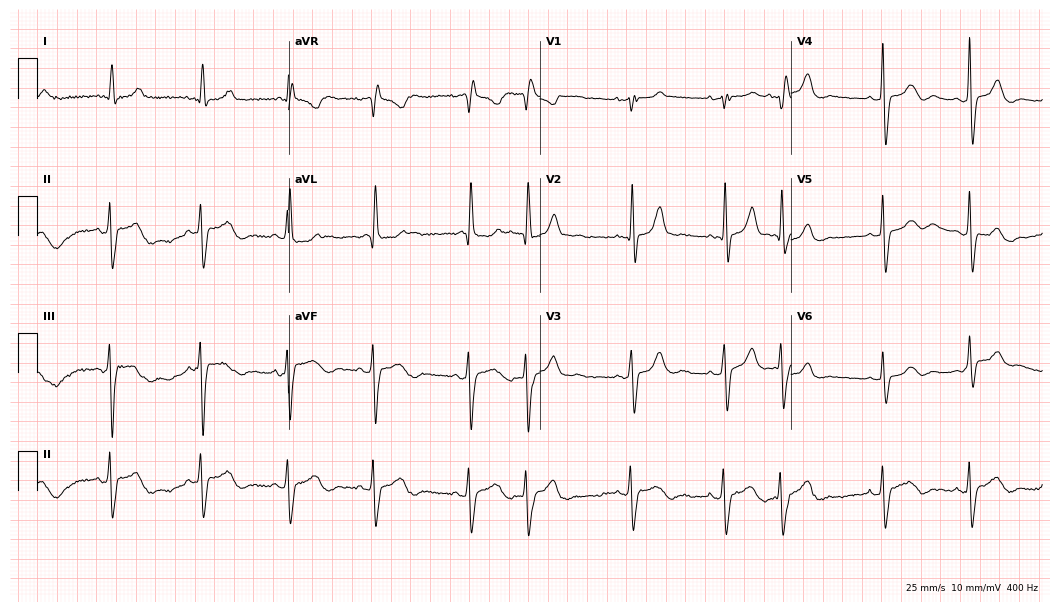
12-lead ECG from a female patient, 82 years old (10.2-second recording at 400 Hz). No first-degree AV block, right bundle branch block, left bundle branch block, sinus bradycardia, atrial fibrillation or sinus tachycardia recorded for this tracing.